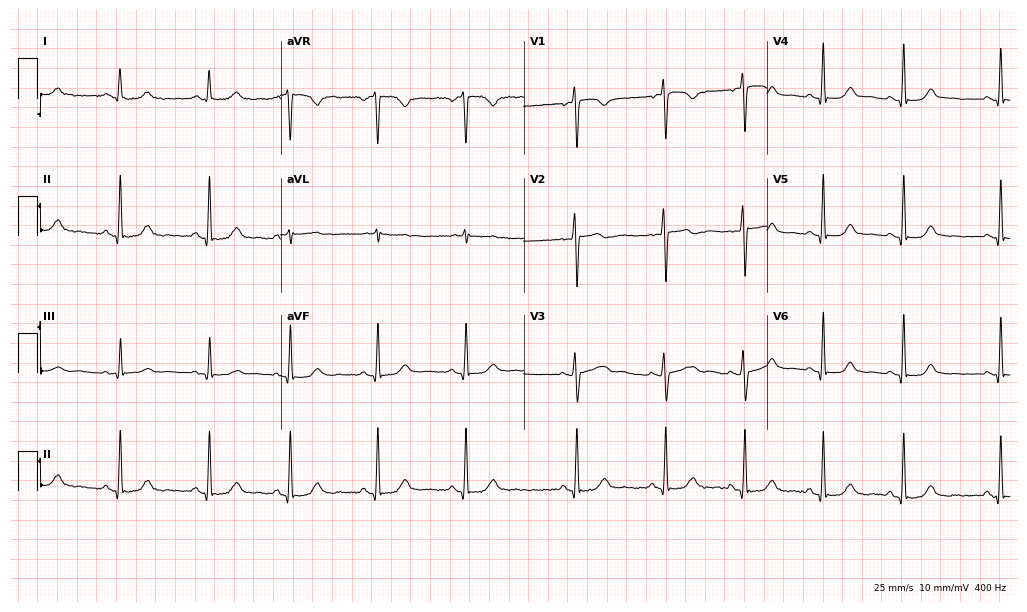
Standard 12-lead ECG recorded from a woman, 42 years old. None of these six findings is recorded: first-degree AV block, right bundle branch block, left bundle branch block, sinus bradycardia, atrial fibrillation, sinus tachycardia. Other findings, if any, are not listed.